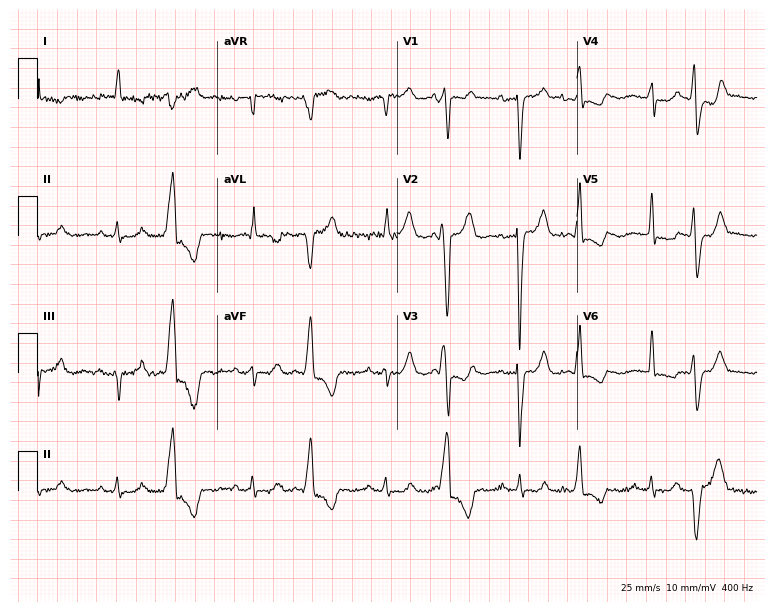
12-lead ECG from a man, 80 years old (7.3-second recording at 400 Hz). No first-degree AV block, right bundle branch block, left bundle branch block, sinus bradycardia, atrial fibrillation or sinus tachycardia recorded for this tracing. Other findings, if any, are not listed.